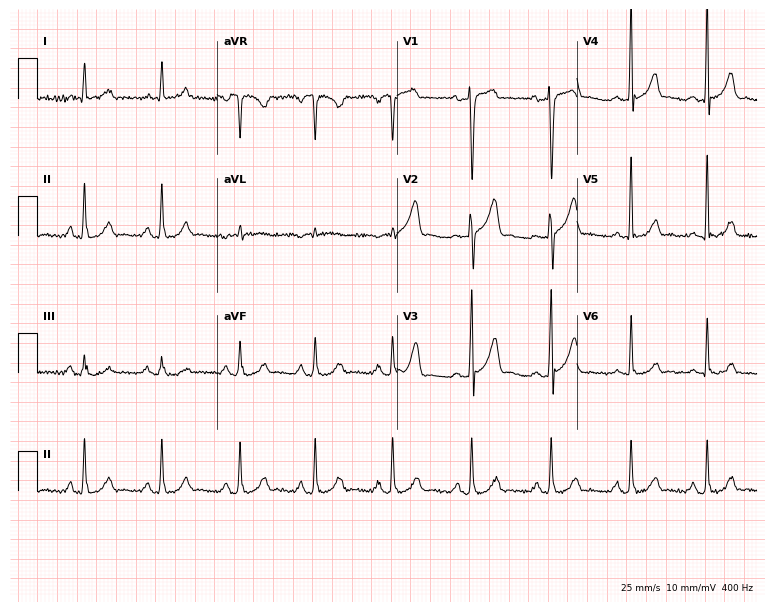
12-lead ECG from a man, 45 years old. Screened for six findings — first-degree AV block, right bundle branch block, left bundle branch block, sinus bradycardia, atrial fibrillation, sinus tachycardia — none is recorded.